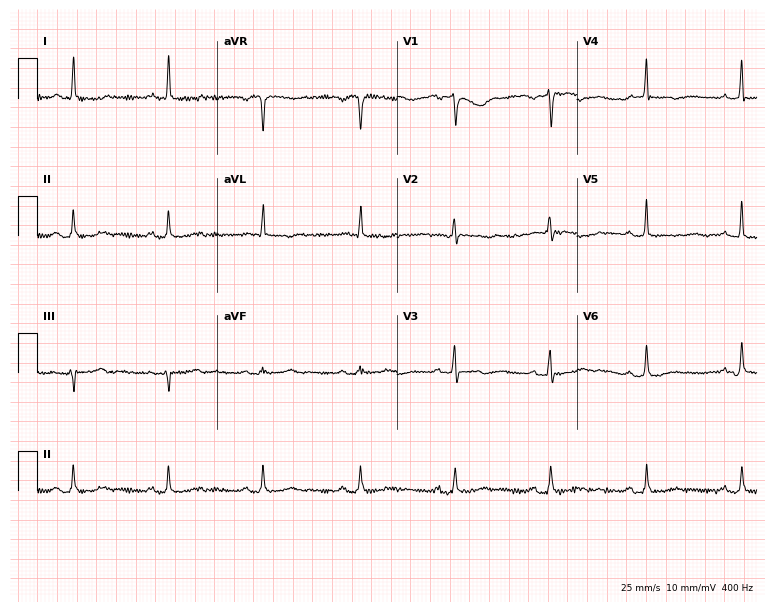
Resting 12-lead electrocardiogram. Patient: a 76-year-old female. None of these six findings is recorded: first-degree AV block, right bundle branch block, left bundle branch block, sinus bradycardia, atrial fibrillation, sinus tachycardia.